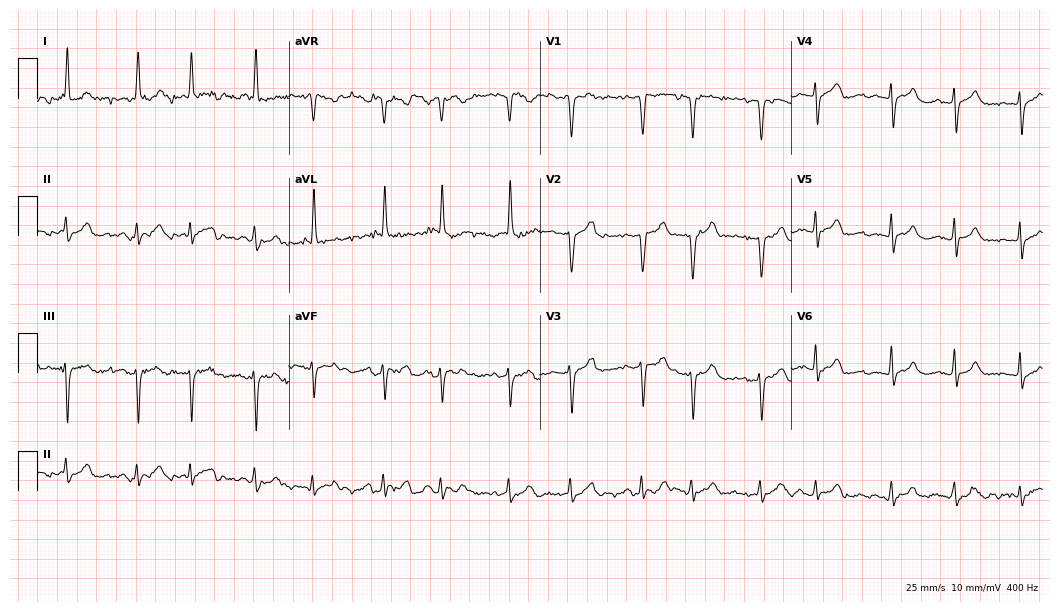
Electrocardiogram (10.2-second recording at 400 Hz), a female, 82 years old. Of the six screened findings (first-degree AV block, right bundle branch block, left bundle branch block, sinus bradycardia, atrial fibrillation, sinus tachycardia), none is recorded. Findings outside these six are not listed.